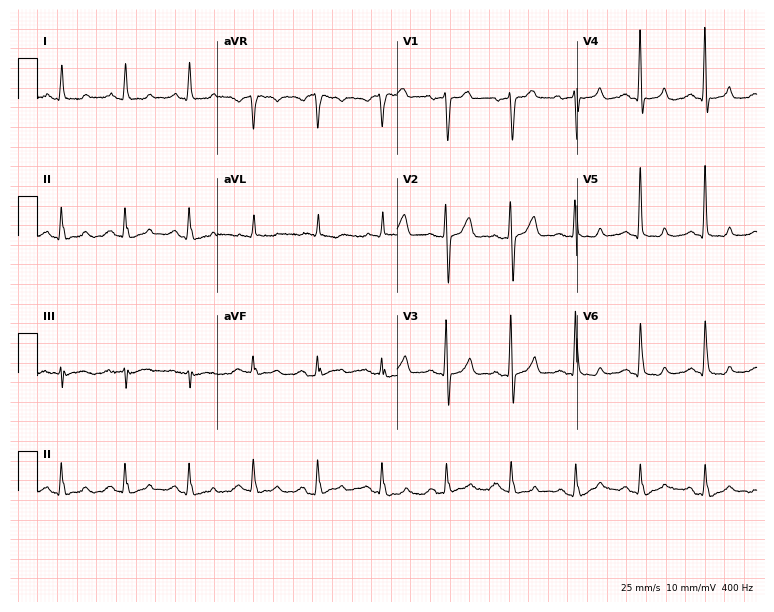
Resting 12-lead electrocardiogram (7.3-second recording at 400 Hz). Patient: a 62-year-old male. Read as a normal ECG.